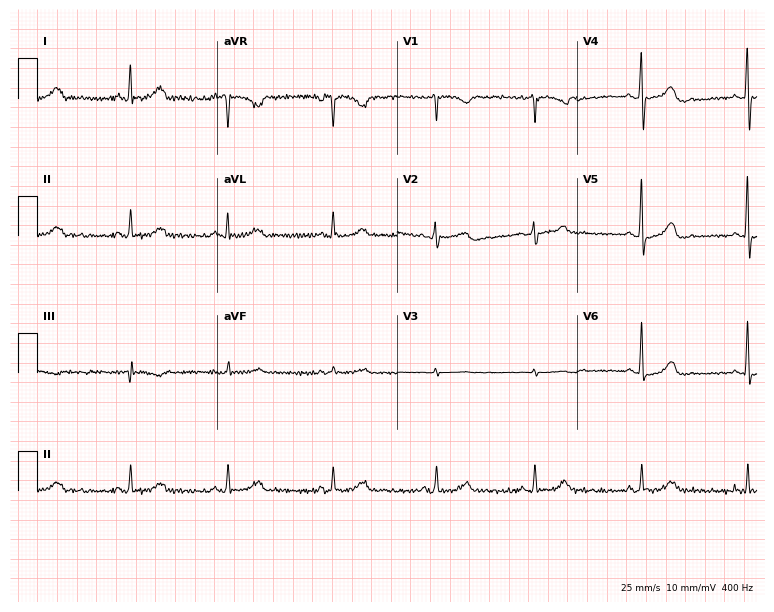
12-lead ECG from a 43-year-old woman. Labelled as a normal ECG.